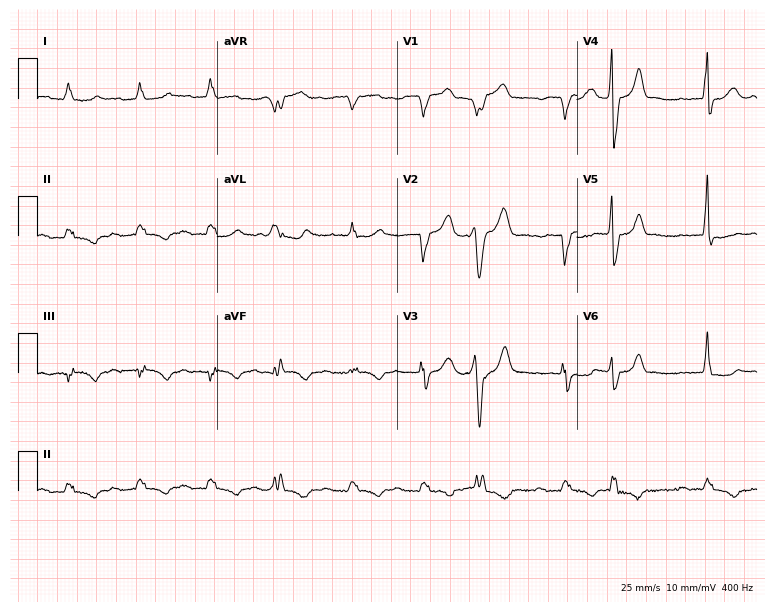
12-lead ECG from a man, 71 years old. Shows atrial fibrillation.